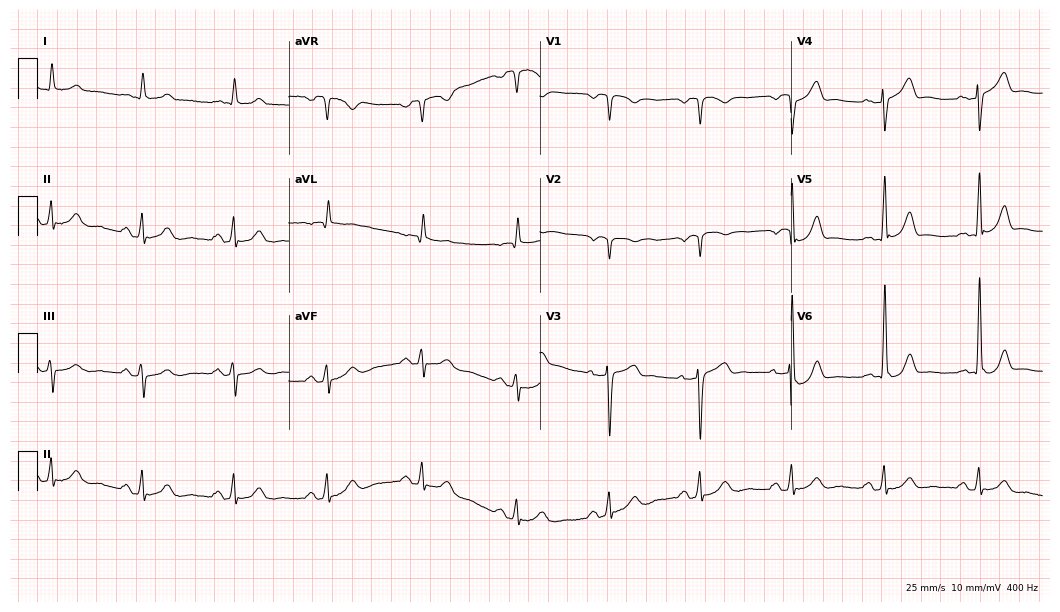
ECG — a man, 62 years old. Screened for six findings — first-degree AV block, right bundle branch block, left bundle branch block, sinus bradycardia, atrial fibrillation, sinus tachycardia — none is recorded. Only these six findings were labelled.